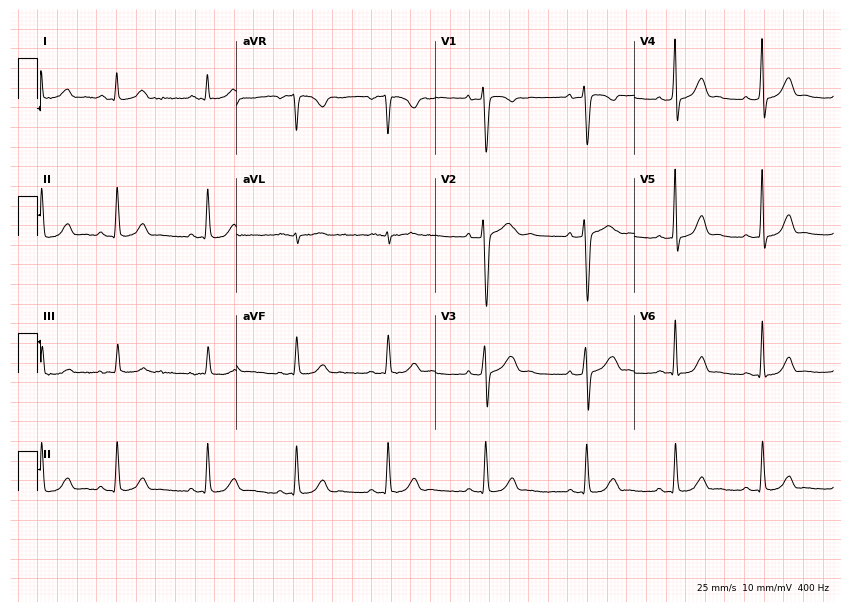
ECG (8.1-second recording at 400 Hz) — a female patient, 27 years old. Screened for six findings — first-degree AV block, right bundle branch block (RBBB), left bundle branch block (LBBB), sinus bradycardia, atrial fibrillation (AF), sinus tachycardia — none is recorded. Findings outside these six are not listed.